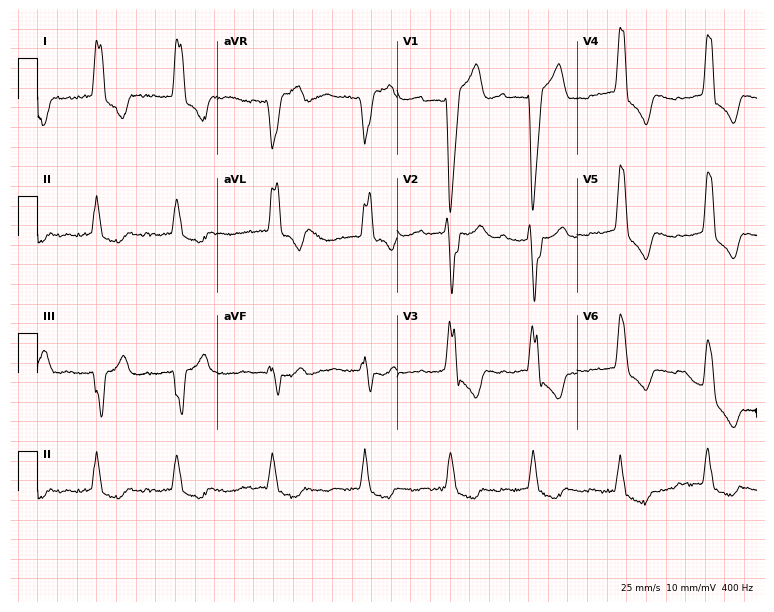
ECG (7.3-second recording at 400 Hz) — an 81-year-old female. Findings include first-degree AV block, left bundle branch block, atrial fibrillation.